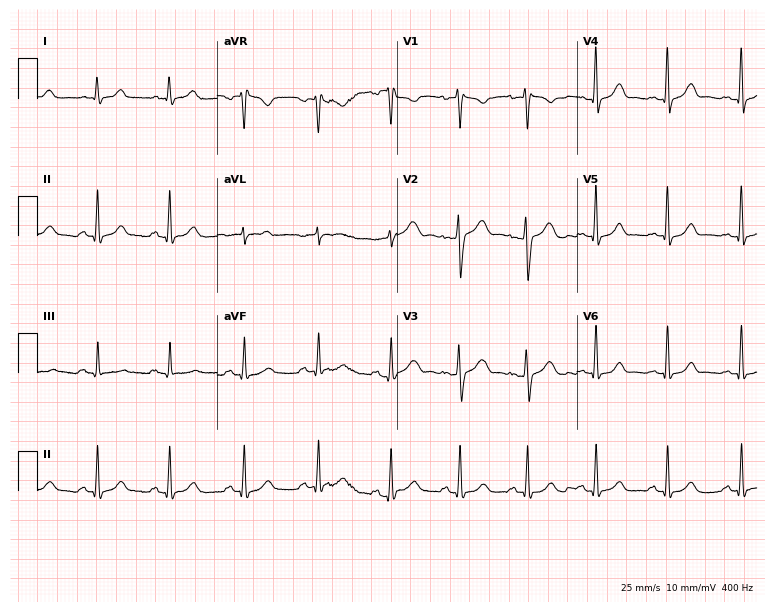
12-lead ECG from a female, 36 years old (7.3-second recording at 400 Hz). No first-degree AV block, right bundle branch block (RBBB), left bundle branch block (LBBB), sinus bradycardia, atrial fibrillation (AF) or sinus tachycardia recorded for this tracing.